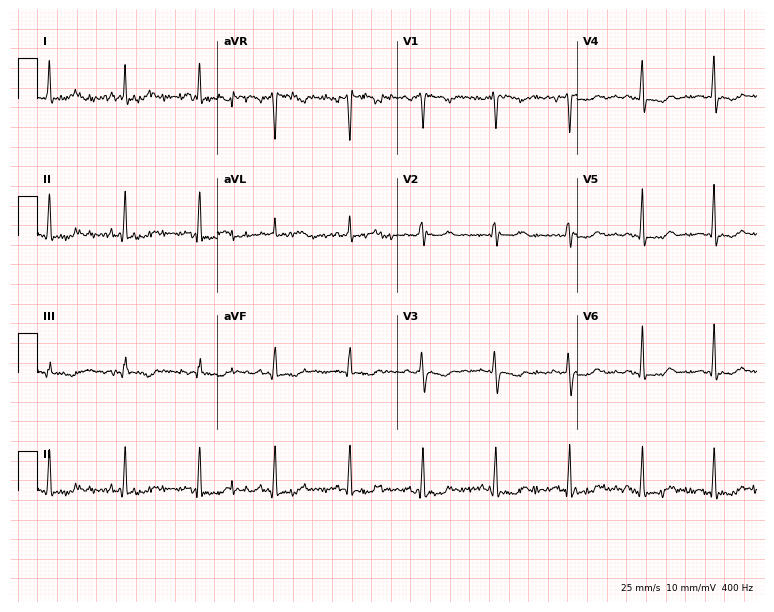
ECG — a 42-year-old female. Screened for six findings — first-degree AV block, right bundle branch block, left bundle branch block, sinus bradycardia, atrial fibrillation, sinus tachycardia — none is recorded.